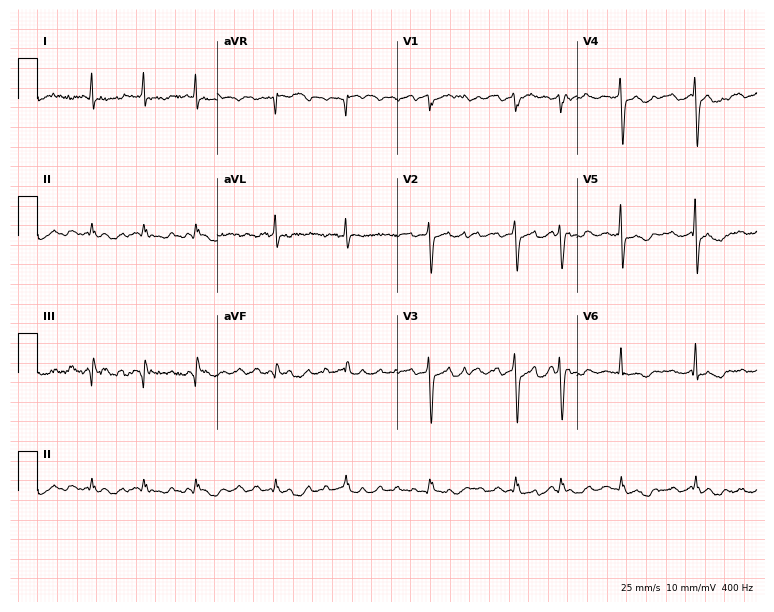
Resting 12-lead electrocardiogram (7.3-second recording at 400 Hz). Patient: a 53-year-old female. The tracing shows atrial fibrillation (AF).